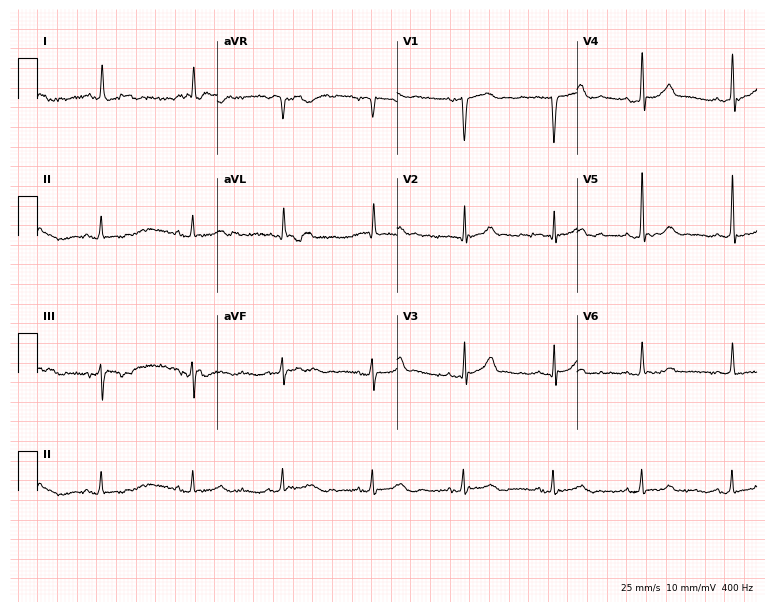
12-lead ECG (7.3-second recording at 400 Hz) from a male, 79 years old. Labelled as a normal ECG.